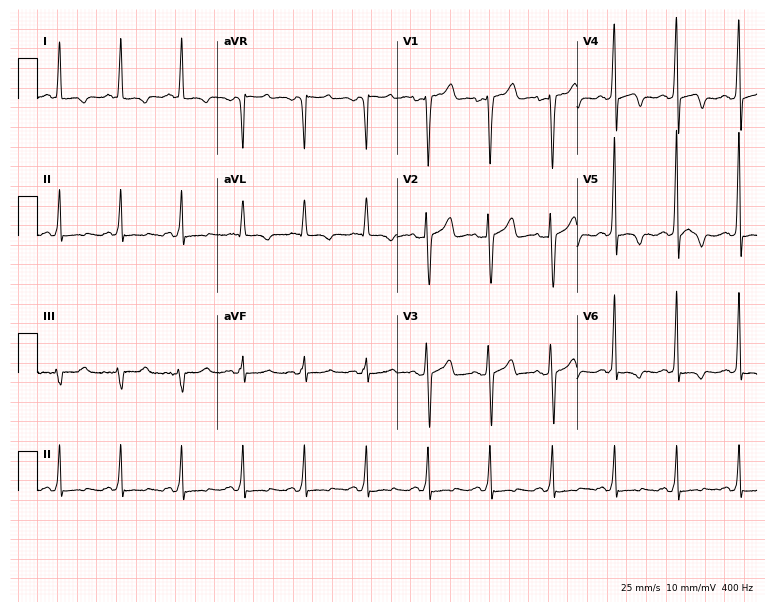
Electrocardiogram, a man, 54 years old. Of the six screened findings (first-degree AV block, right bundle branch block, left bundle branch block, sinus bradycardia, atrial fibrillation, sinus tachycardia), none is recorded.